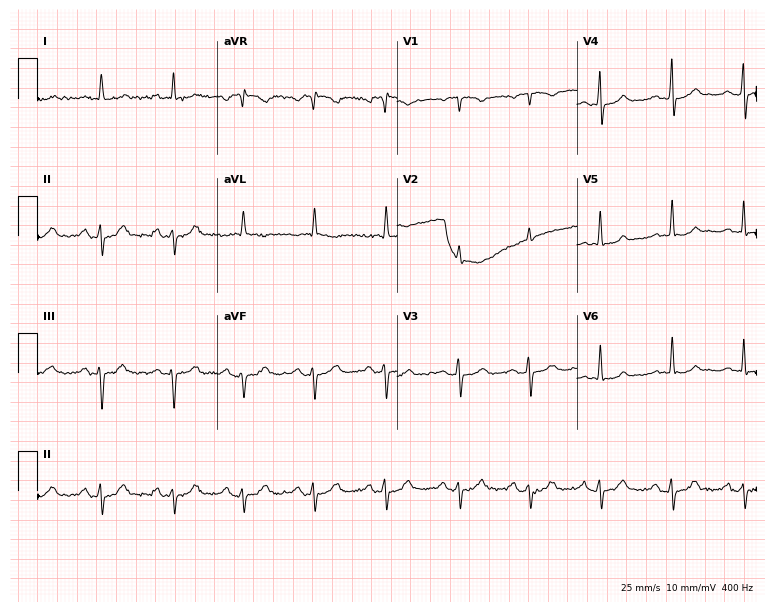
ECG (7.3-second recording at 400 Hz) — a 79-year-old female. Screened for six findings — first-degree AV block, right bundle branch block, left bundle branch block, sinus bradycardia, atrial fibrillation, sinus tachycardia — none is recorded.